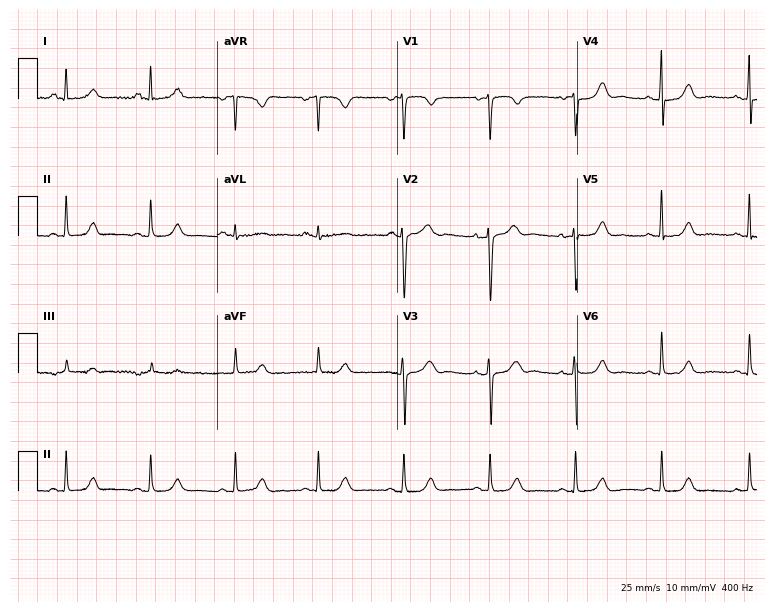
Electrocardiogram, a female patient, 43 years old. Of the six screened findings (first-degree AV block, right bundle branch block, left bundle branch block, sinus bradycardia, atrial fibrillation, sinus tachycardia), none is recorded.